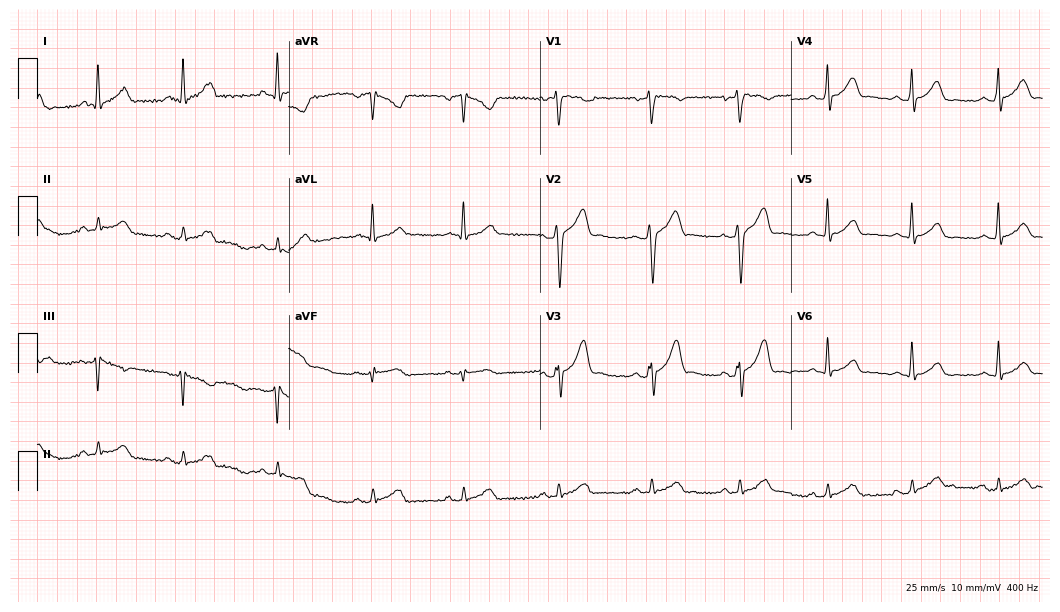
Electrocardiogram, a male, 37 years old. Overall reading on record: normal ECG.